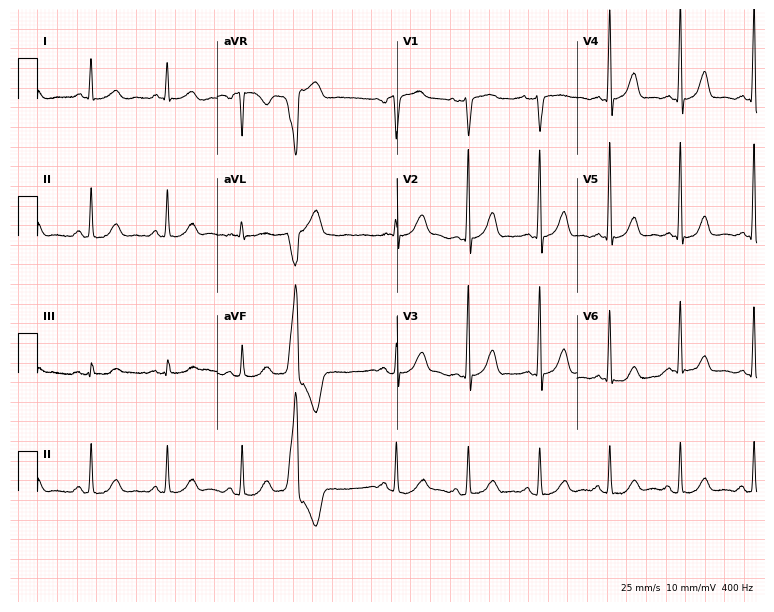
12-lead ECG from a 52-year-old man. No first-degree AV block, right bundle branch block (RBBB), left bundle branch block (LBBB), sinus bradycardia, atrial fibrillation (AF) or sinus tachycardia recorded for this tracing. Other findings, if any, are not listed.